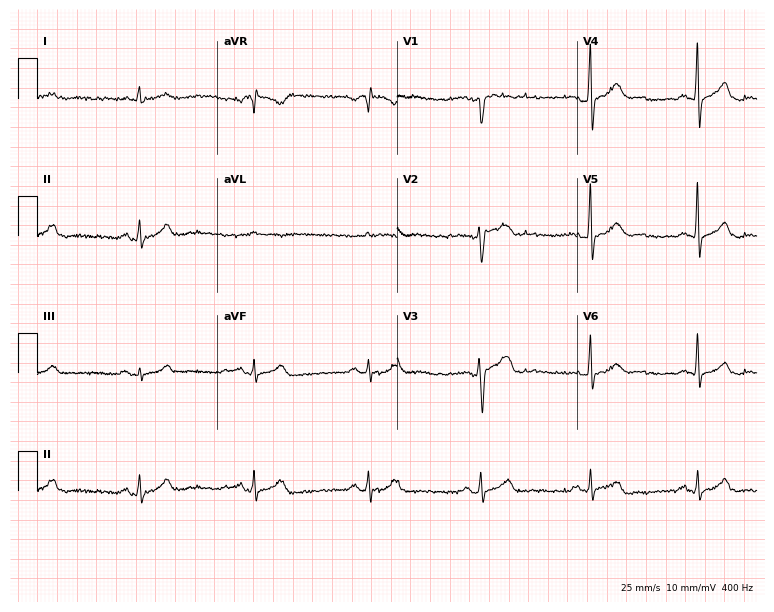
Resting 12-lead electrocardiogram (7.3-second recording at 400 Hz). Patient: a 57-year-old male. None of these six findings is recorded: first-degree AV block, right bundle branch block, left bundle branch block, sinus bradycardia, atrial fibrillation, sinus tachycardia.